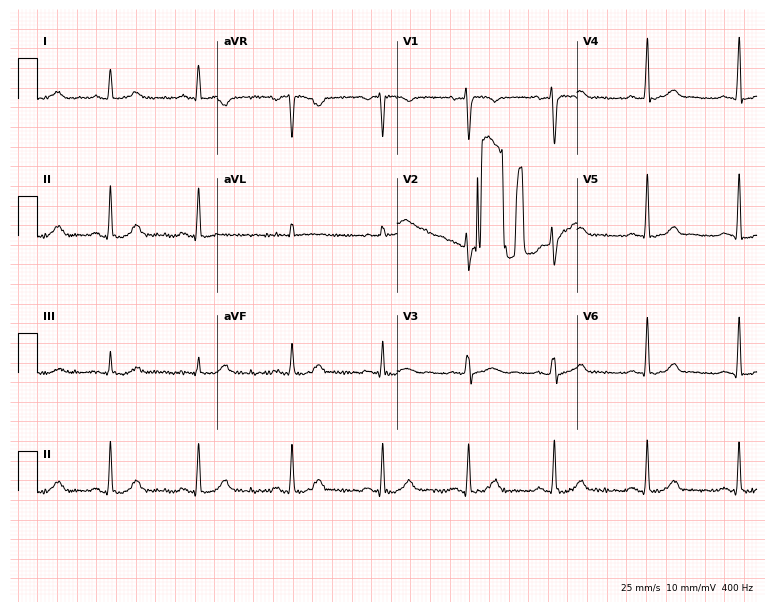
Electrocardiogram (7.3-second recording at 400 Hz), a 32-year-old female patient. Overall reading on record: normal ECG.